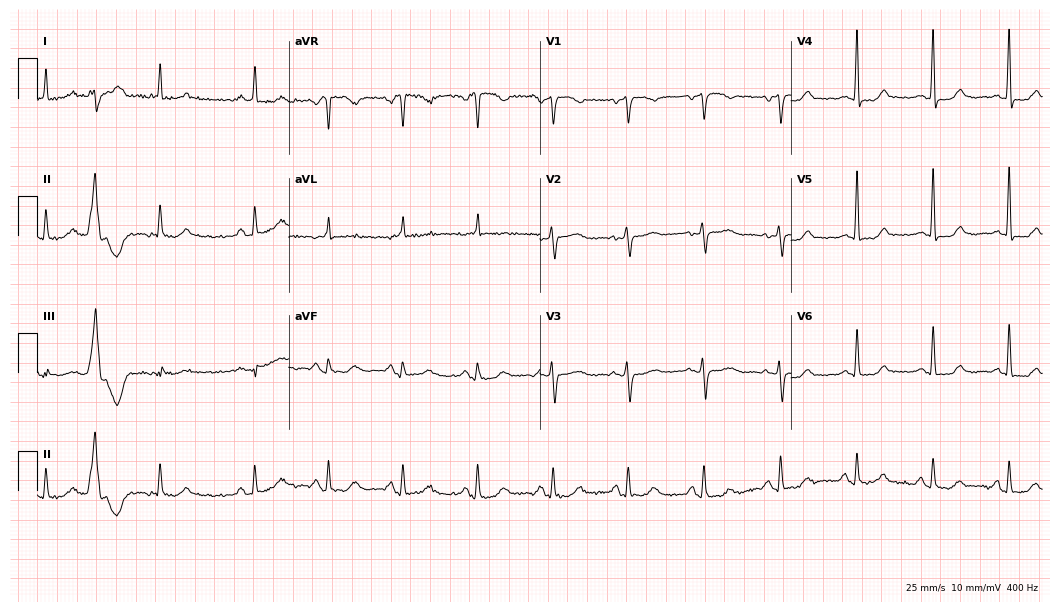
12-lead ECG (10.2-second recording at 400 Hz) from a 76-year-old woman. Screened for six findings — first-degree AV block, right bundle branch block (RBBB), left bundle branch block (LBBB), sinus bradycardia, atrial fibrillation (AF), sinus tachycardia — none is recorded. Other findings, if any, are not listed.